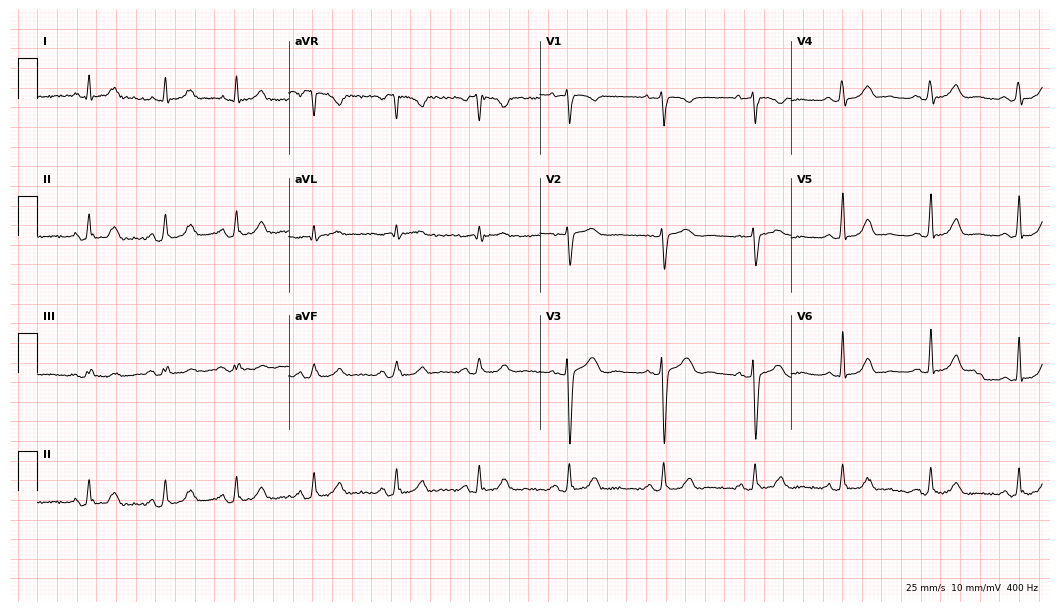
12-lead ECG from a female, 46 years old. Labelled as a normal ECG.